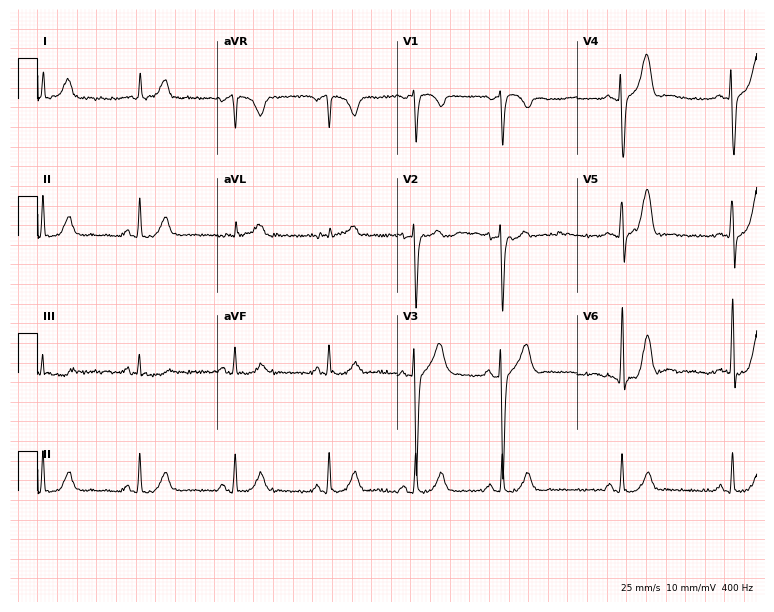
ECG (7.3-second recording at 400 Hz) — a 50-year-old male patient. Labelled as a normal ECG.